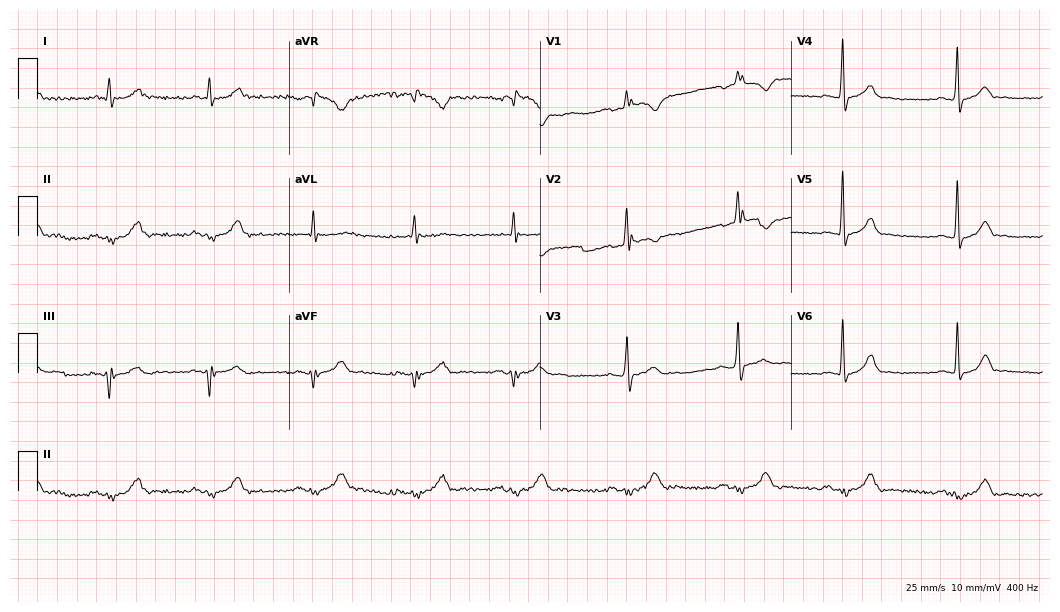
Resting 12-lead electrocardiogram. Patient: a man, 35 years old. None of these six findings is recorded: first-degree AV block, right bundle branch block, left bundle branch block, sinus bradycardia, atrial fibrillation, sinus tachycardia.